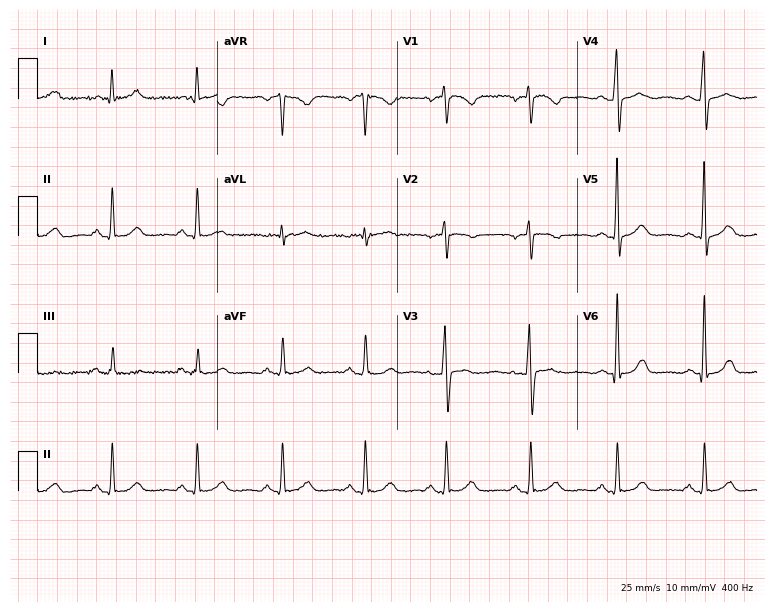
ECG — a woman, 52 years old. Labelled as a normal ECG.